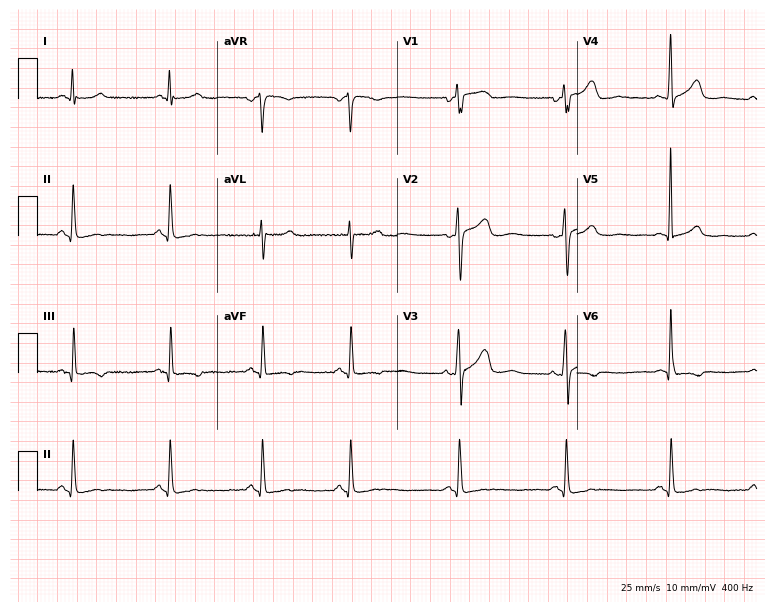
12-lead ECG from a 76-year-old woman. Screened for six findings — first-degree AV block, right bundle branch block (RBBB), left bundle branch block (LBBB), sinus bradycardia, atrial fibrillation (AF), sinus tachycardia — none is recorded. Only these six findings were labelled.